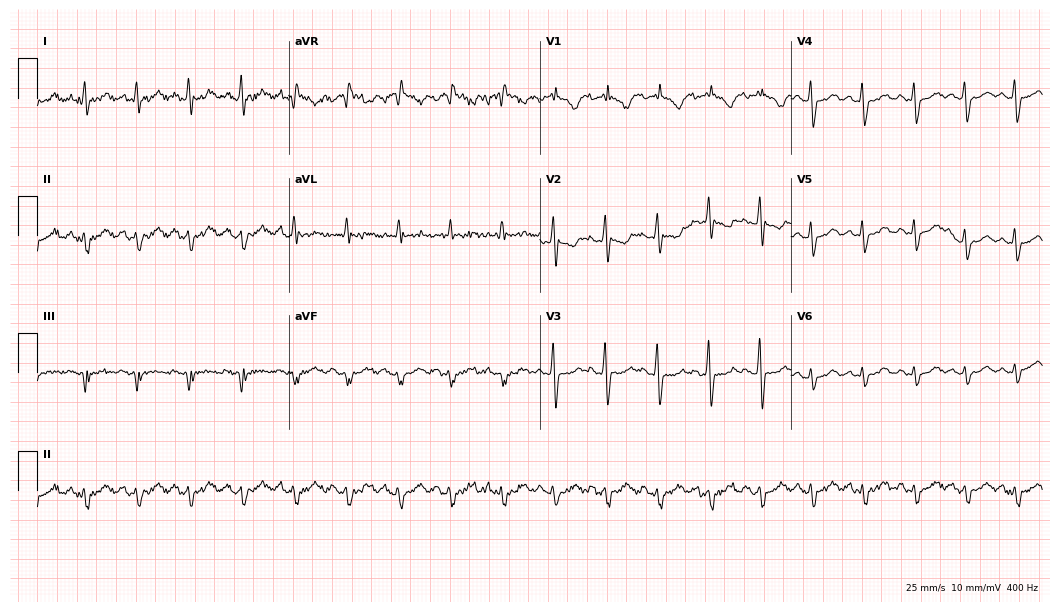
Resting 12-lead electrocardiogram (10.2-second recording at 400 Hz). Patient: a woman, 45 years old. The tracing shows sinus tachycardia (a sinus rate of 100 beats per minute or more).